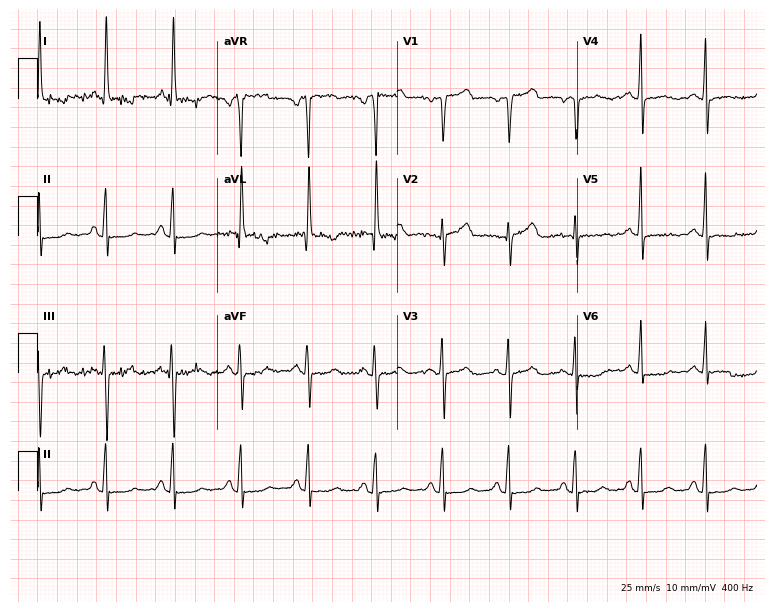
Standard 12-lead ECG recorded from a female, 70 years old (7.3-second recording at 400 Hz). None of these six findings is recorded: first-degree AV block, right bundle branch block, left bundle branch block, sinus bradycardia, atrial fibrillation, sinus tachycardia. Findings outside these six are not listed.